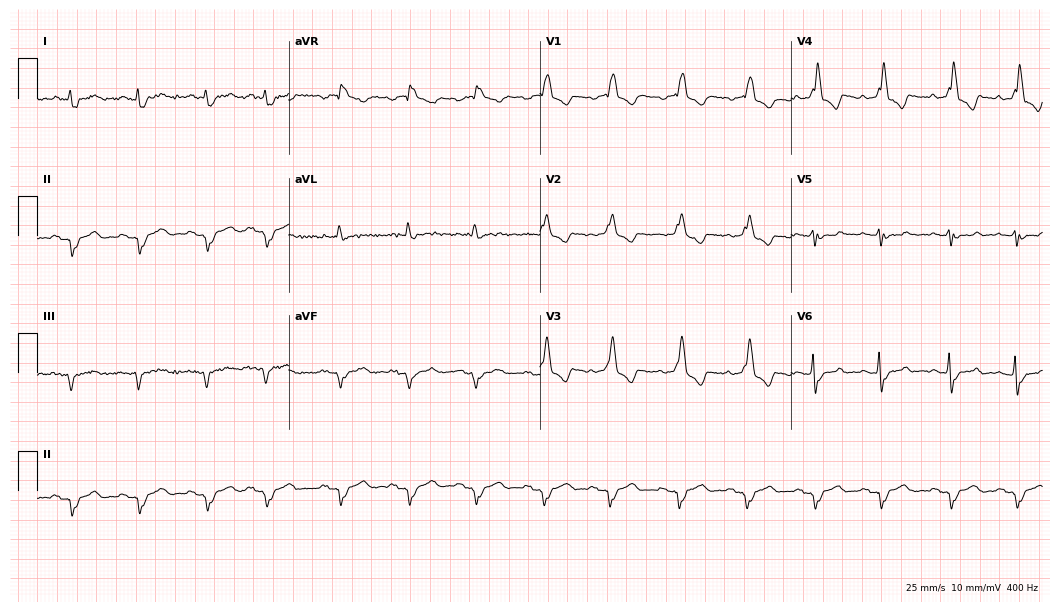
Standard 12-lead ECG recorded from a male patient, 83 years old (10.2-second recording at 400 Hz). The tracing shows right bundle branch block.